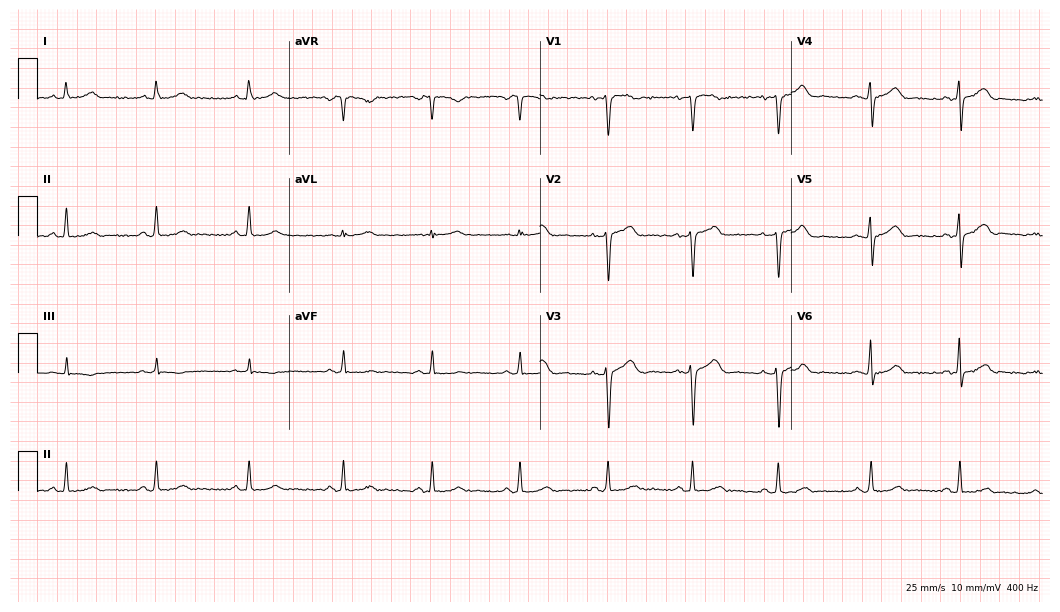
Electrocardiogram, a female, 45 years old. Of the six screened findings (first-degree AV block, right bundle branch block, left bundle branch block, sinus bradycardia, atrial fibrillation, sinus tachycardia), none is recorded. Only these six findings were labelled.